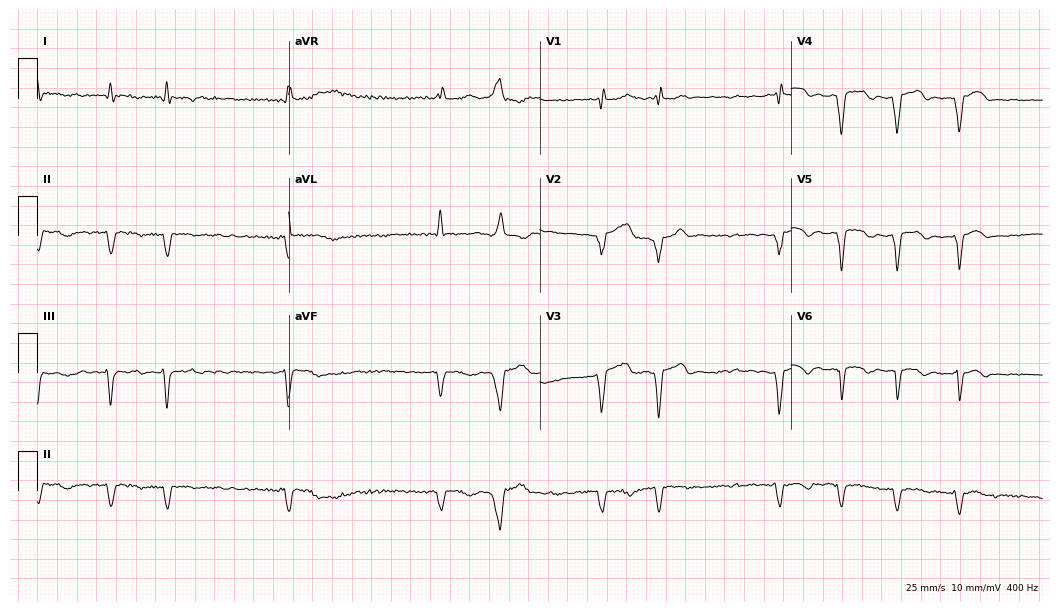
Resting 12-lead electrocardiogram (10.2-second recording at 400 Hz). Patient: a male, 81 years old. The tracing shows atrial fibrillation.